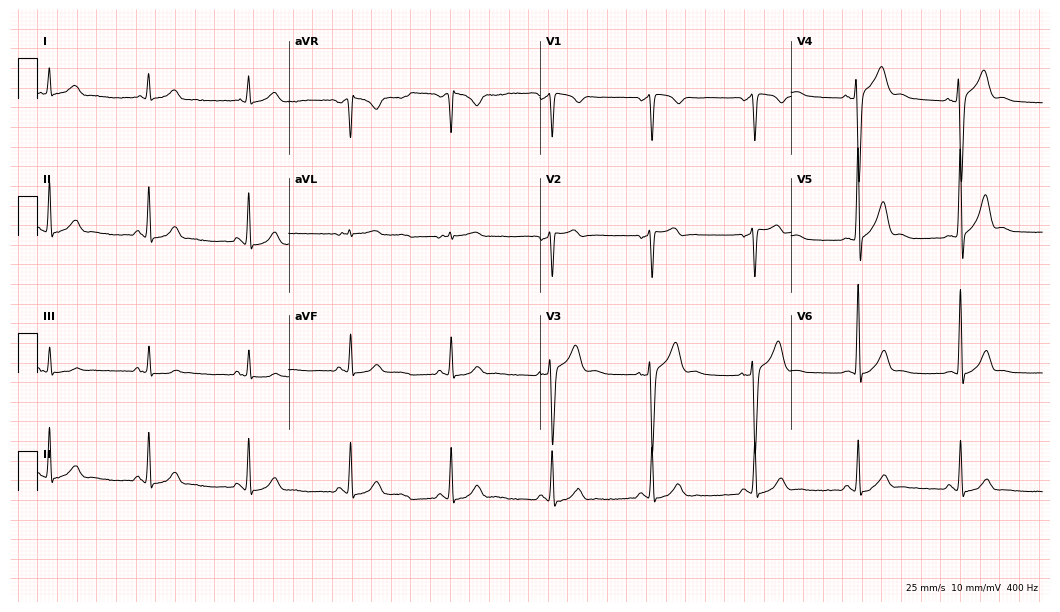
12-lead ECG (10.2-second recording at 400 Hz) from a 38-year-old male. Screened for six findings — first-degree AV block, right bundle branch block, left bundle branch block, sinus bradycardia, atrial fibrillation, sinus tachycardia — none is recorded.